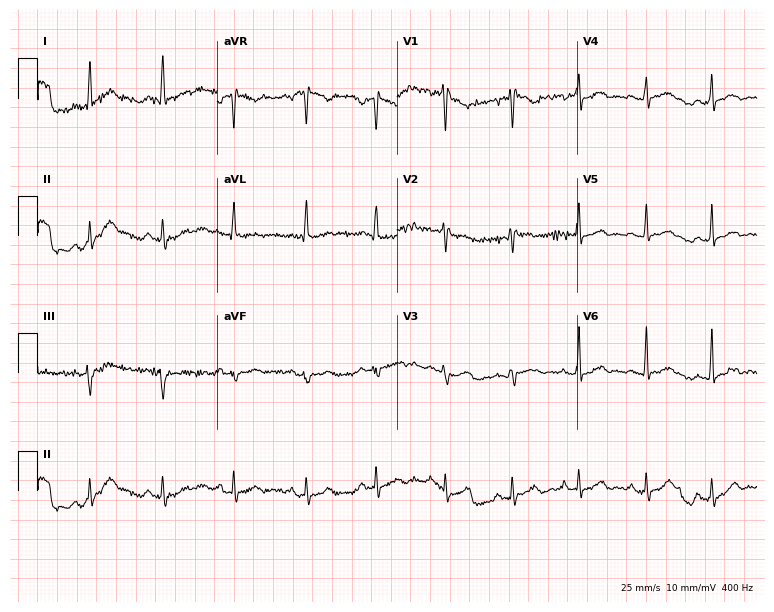
ECG — a 34-year-old woman. Screened for six findings — first-degree AV block, right bundle branch block (RBBB), left bundle branch block (LBBB), sinus bradycardia, atrial fibrillation (AF), sinus tachycardia — none is recorded. Only these six findings were labelled.